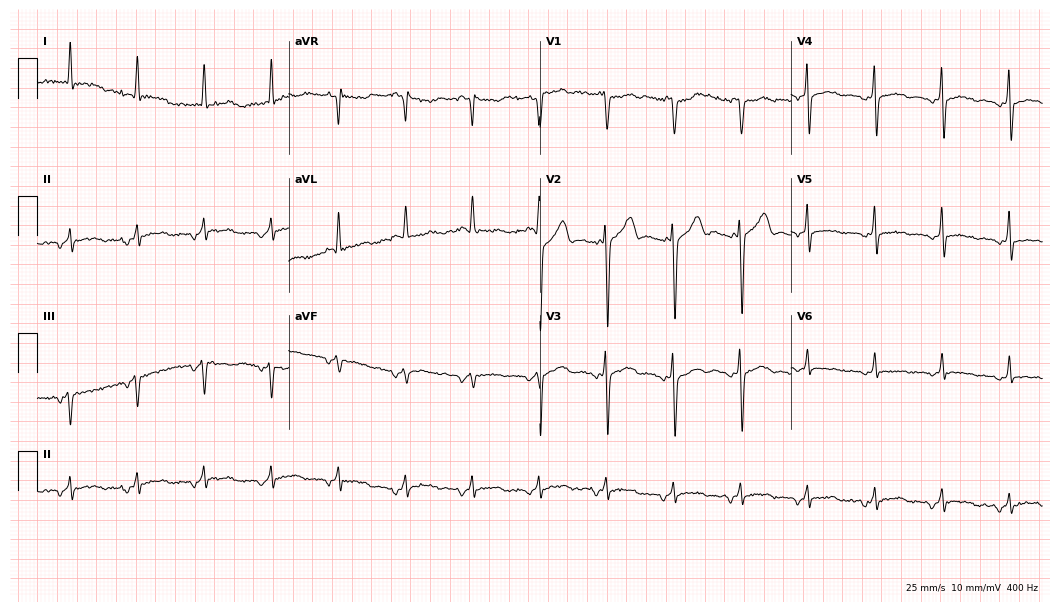
Electrocardiogram, a male patient, 54 years old. Of the six screened findings (first-degree AV block, right bundle branch block (RBBB), left bundle branch block (LBBB), sinus bradycardia, atrial fibrillation (AF), sinus tachycardia), none is recorded.